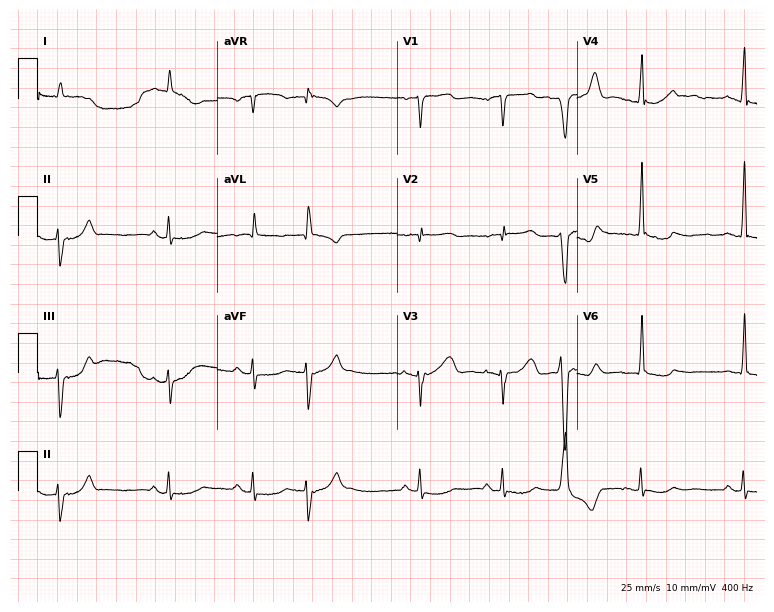
Electrocardiogram, an 84-year-old male patient. Of the six screened findings (first-degree AV block, right bundle branch block, left bundle branch block, sinus bradycardia, atrial fibrillation, sinus tachycardia), none is recorded. Only these six findings were labelled.